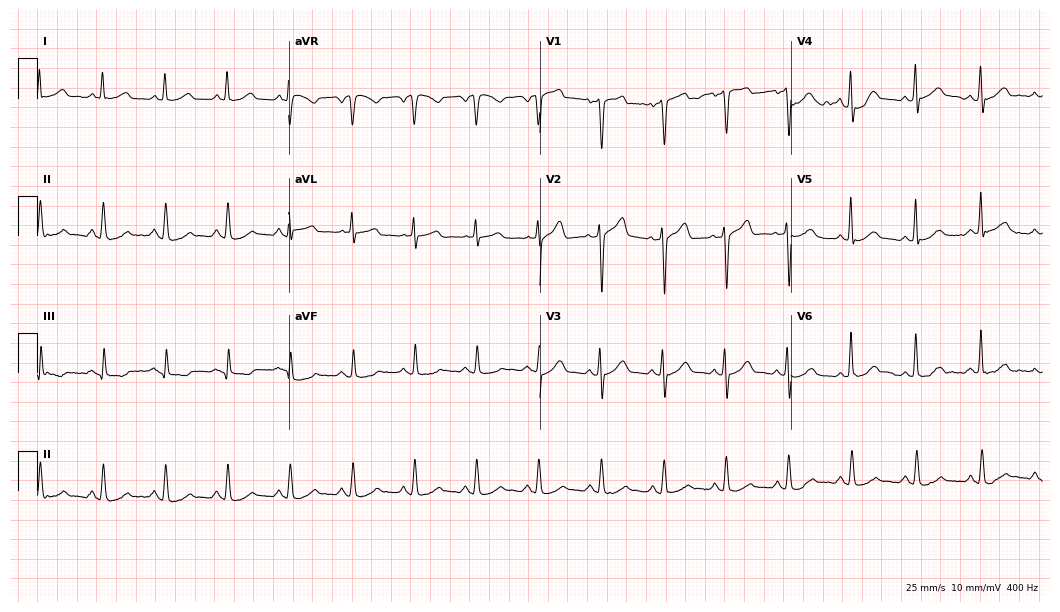
ECG — a 60-year-old man. Screened for six findings — first-degree AV block, right bundle branch block (RBBB), left bundle branch block (LBBB), sinus bradycardia, atrial fibrillation (AF), sinus tachycardia — none is recorded. Other findings, if any, are not listed.